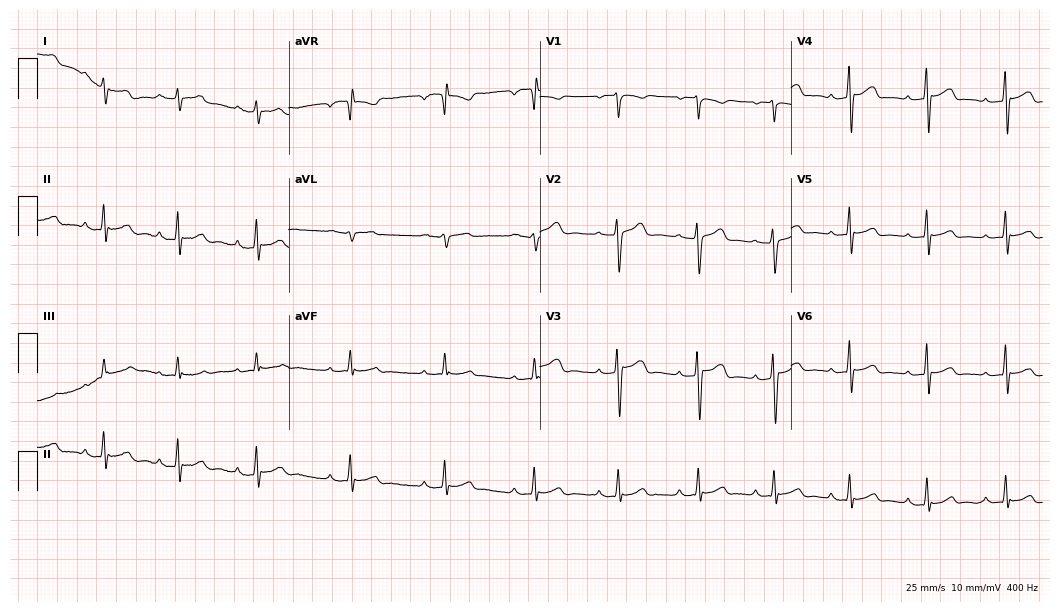
12-lead ECG from a female, 17 years old (10.2-second recording at 400 Hz). Recorded interpretation: within normal limits.